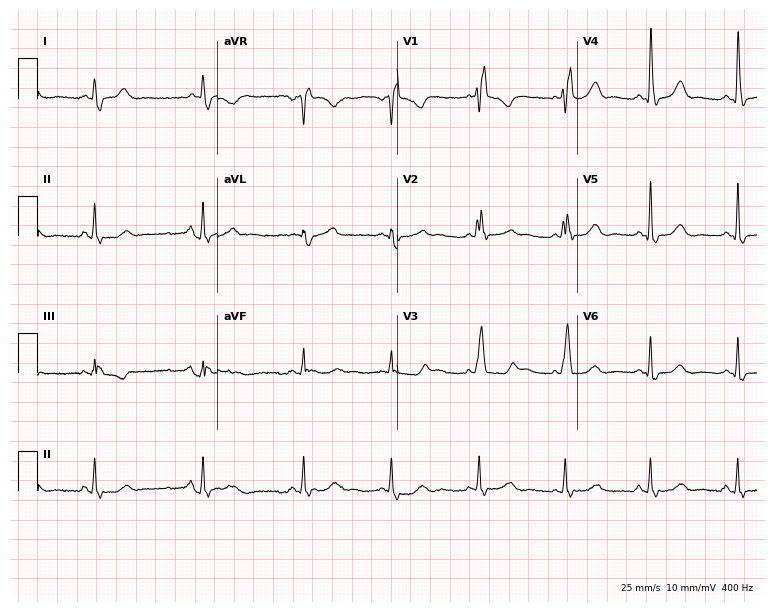
12-lead ECG from a woman, 58 years old (7.3-second recording at 400 Hz). Shows right bundle branch block.